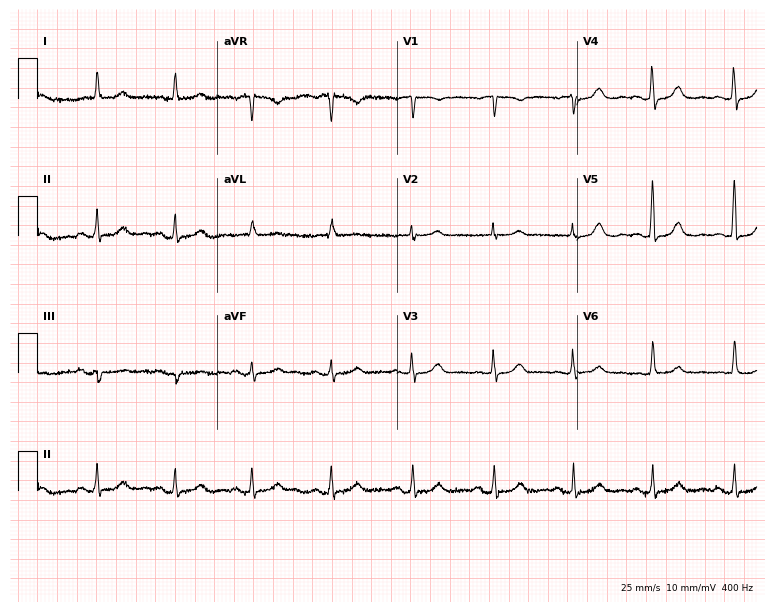
Resting 12-lead electrocardiogram. Patient: a female, 78 years old. Read as a normal ECG.